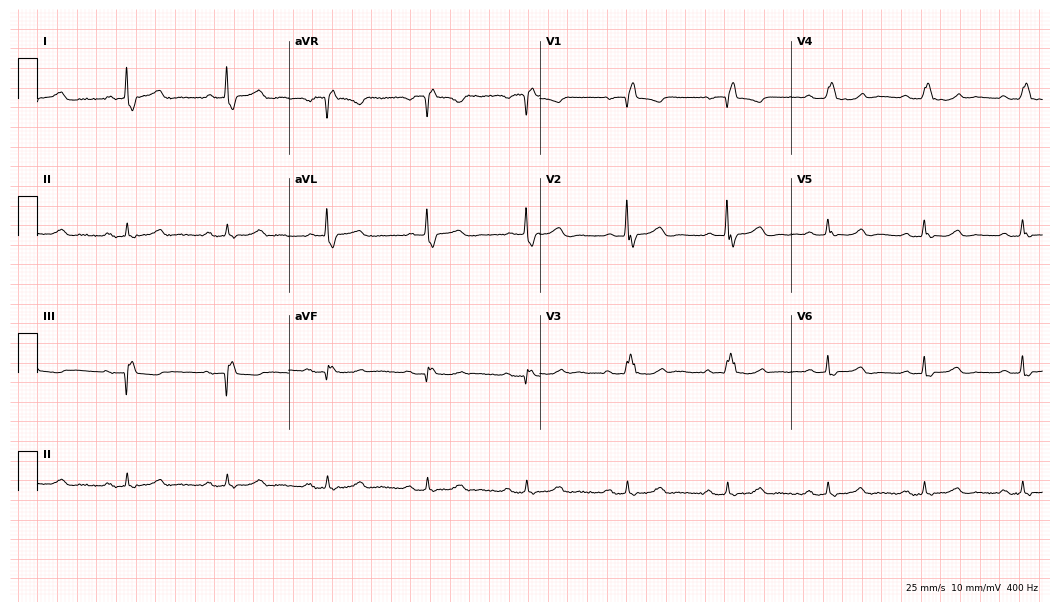
Resting 12-lead electrocardiogram (10.2-second recording at 400 Hz). Patient: a woman, 78 years old. None of these six findings is recorded: first-degree AV block, right bundle branch block, left bundle branch block, sinus bradycardia, atrial fibrillation, sinus tachycardia. Other findings, if any, are not listed.